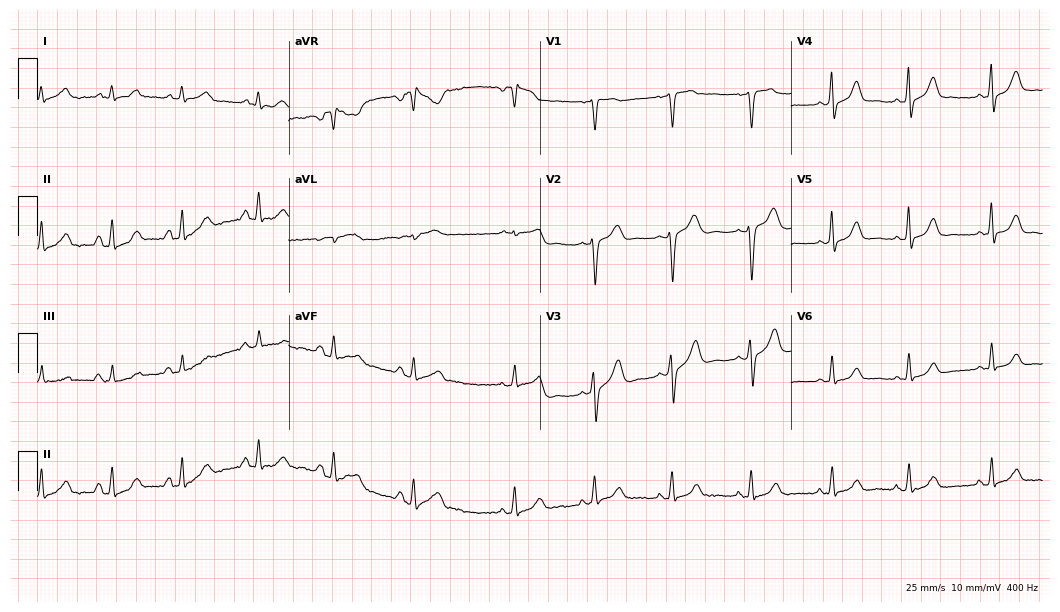
Resting 12-lead electrocardiogram. Patient: a female, 31 years old. Read as a normal ECG.